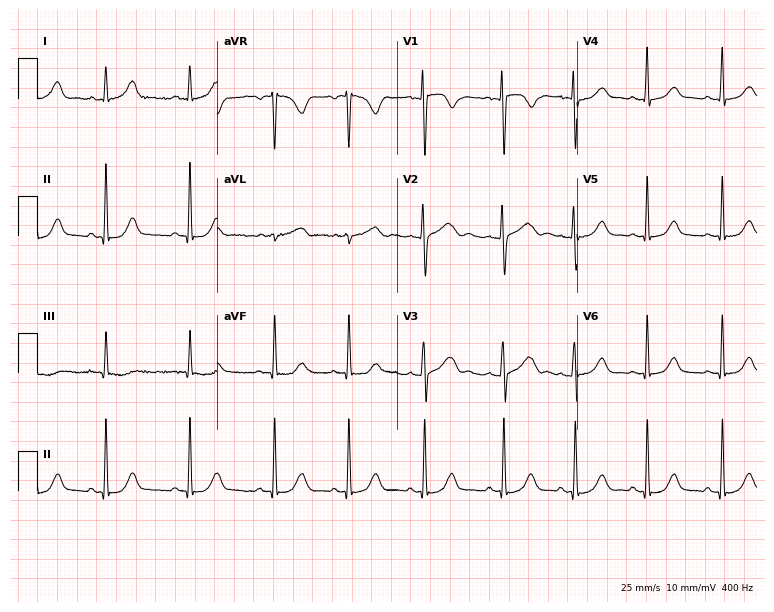
ECG (7.3-second recording at 400 Hz) — a 21-year-old female. Labelled as a normal ECG.